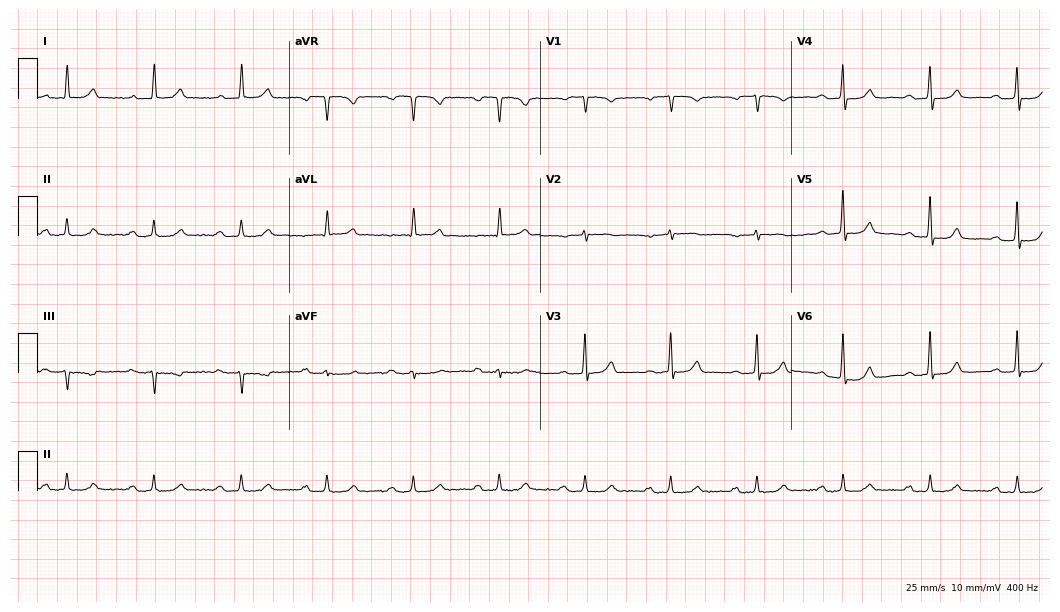
Standard 12-lead ECG recorded from an 84-year-old woman. Read as a normal ECG.